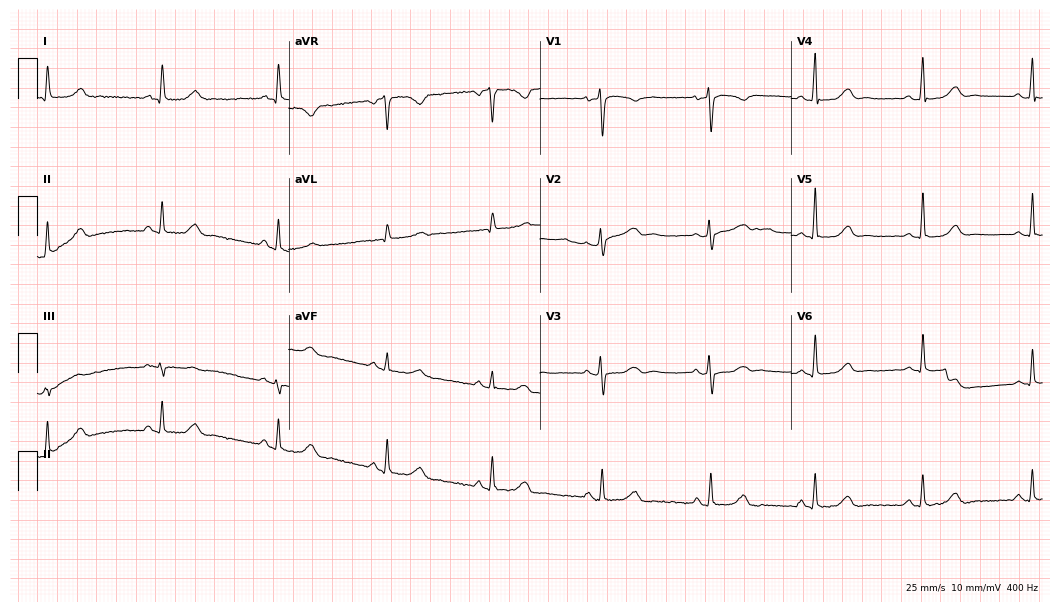
Electrocardiogram (10.2-second recording at 400 Hz), a female patient, 54 years old. Overall reading on record: normal ECG.